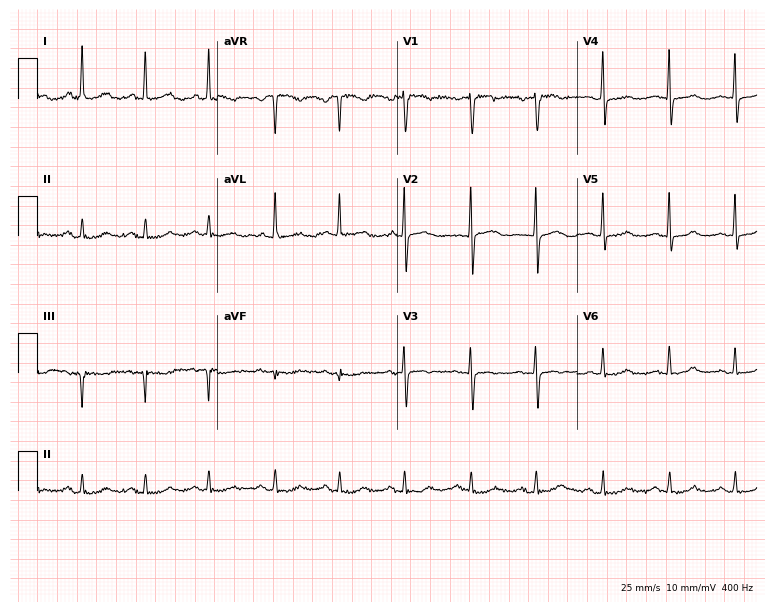
Standard 12-lead ECG recorded from a female patient, 75 years old (7.3-second recording at 400 Hz). Read as a normal ECG.